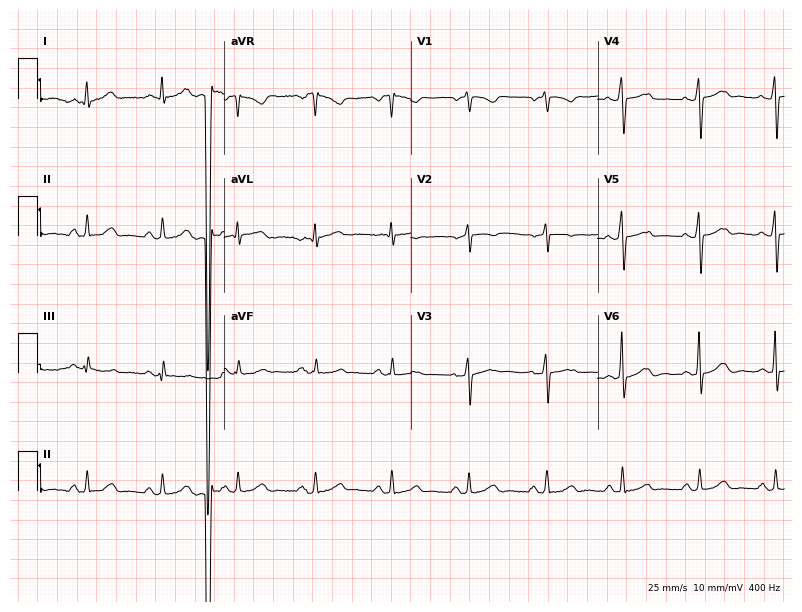
ECG — a man, 67 years old. Screened for six findings — first-degree AV block, right bundle branch block, left bundle branch block, sinus bradycardia, atrial fibrillation, sinus tachycardia — none is recorded.